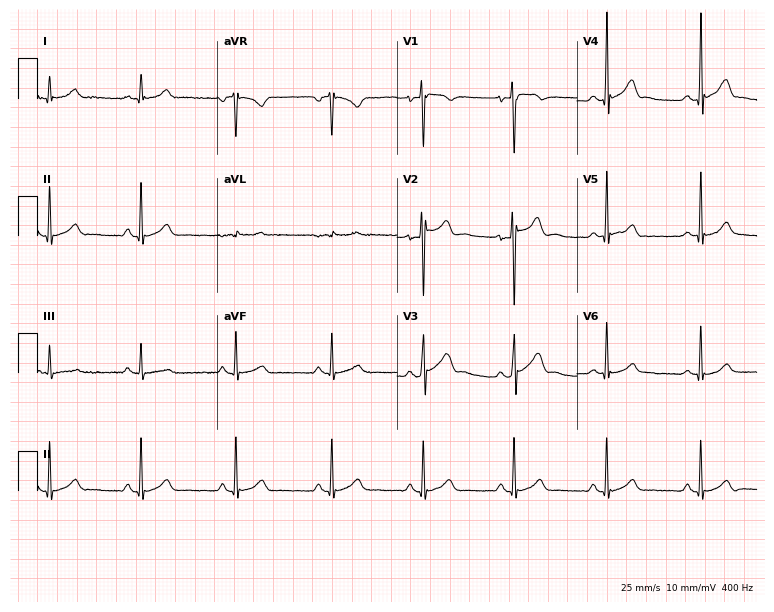
Standard 12-lead ECG recorded from a 17-year-old male patient (7.3-second recording at 400 Hz). Read as a normal ECG.